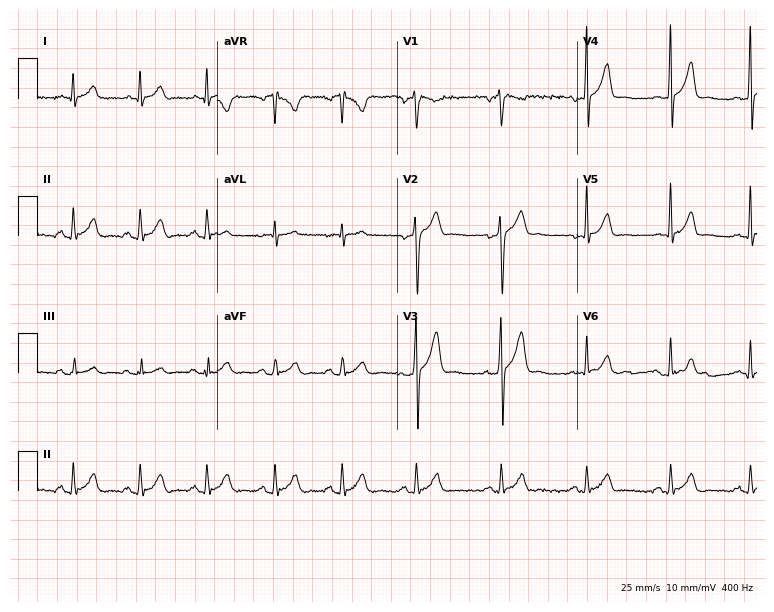
Resting 12-lead electrocardiogram (7.3-second recording at 400 Hz). Patient: a male, 25 years old. Read as a normal ECG.